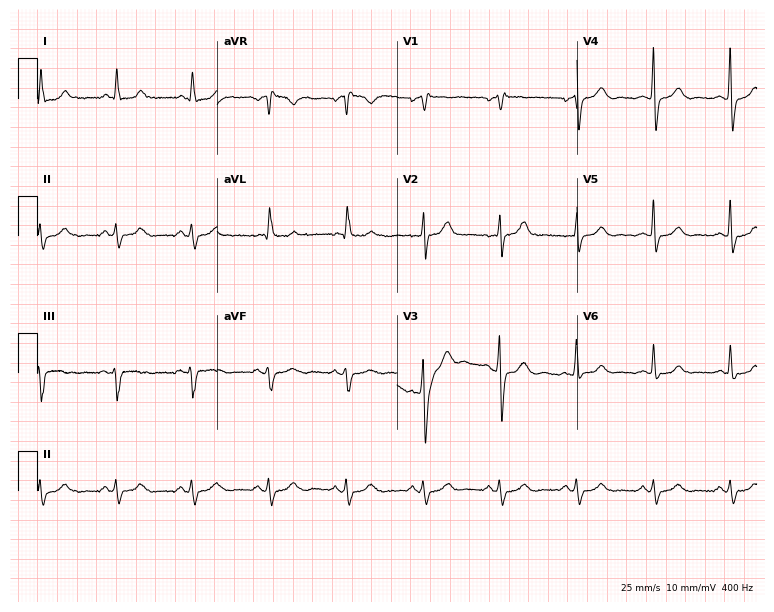
Electrocardiogram, a 55-year-old male. Of the six screened findings (first-degree AV block, right bundle branch block, left bundle branch block, sinus bradycardia, atrial fibrillation, sinus tachycardia), none is recorded.